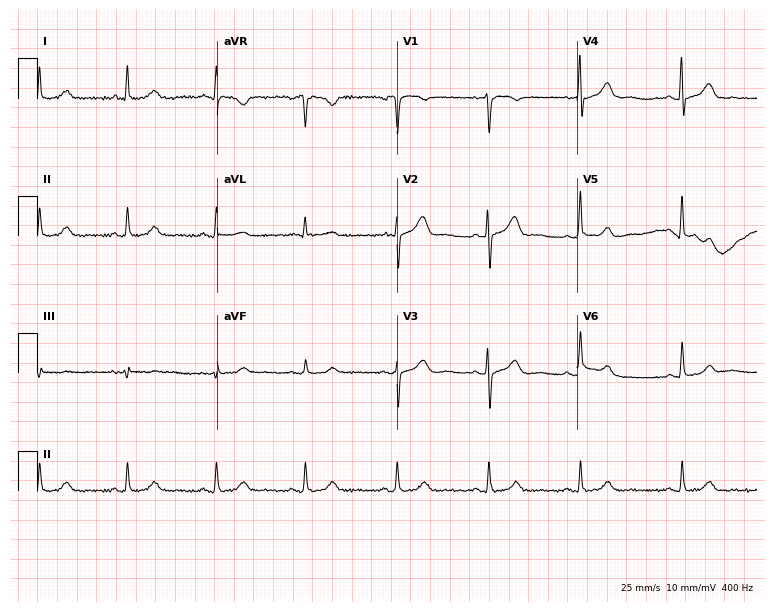
ECG (7.3-second recording at 400 Hz) — a 70-year-old female. Labelled as a normal ECG.